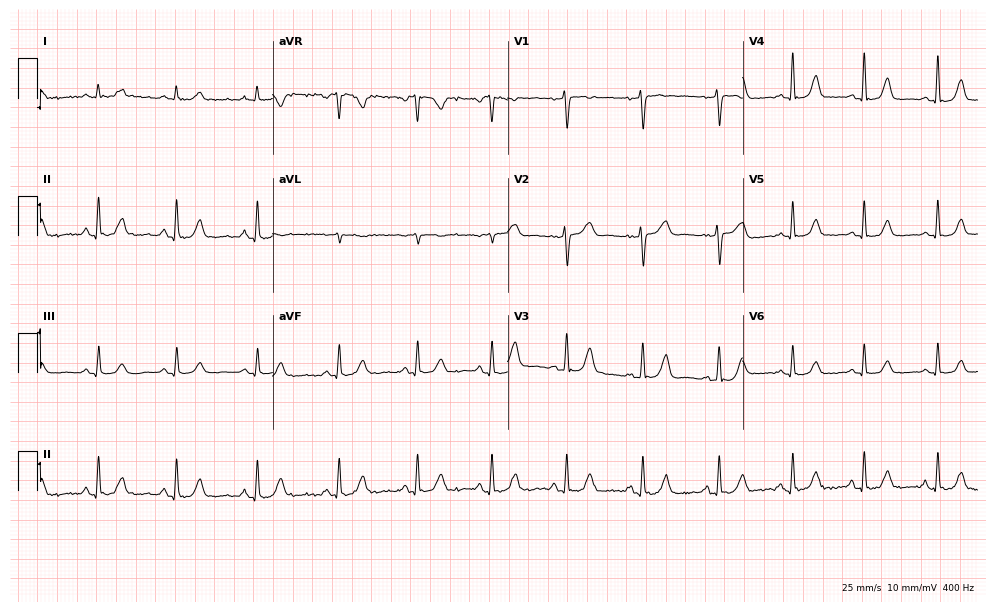
Standard 12-lead ECG recorded from a 54-year-old female (9.6-second recording at 400 Hz). Read as a normal ECG.